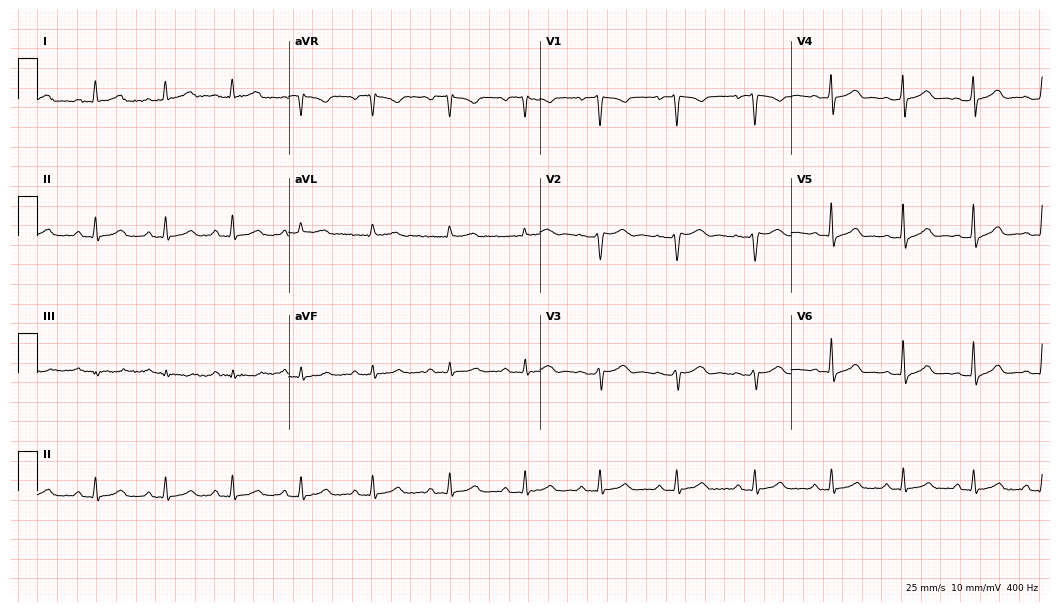
ECG — a 28-year-old woman. Labelled as a normal ECG.